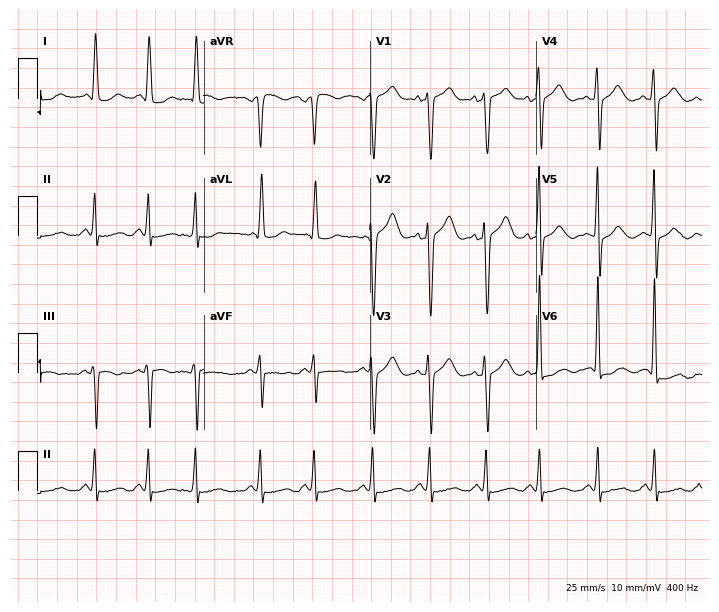
Standard 12-lead ECG recorded from a female patient, 67 years old. None of these six findings is recorded: first-degree AV block, right bundle branch block (RBBB), left bundle branch block (LBBB), sinus bradycardia, atrial fibrillation (AF), sinus tachycardia. Other findings, if any, are not listed.